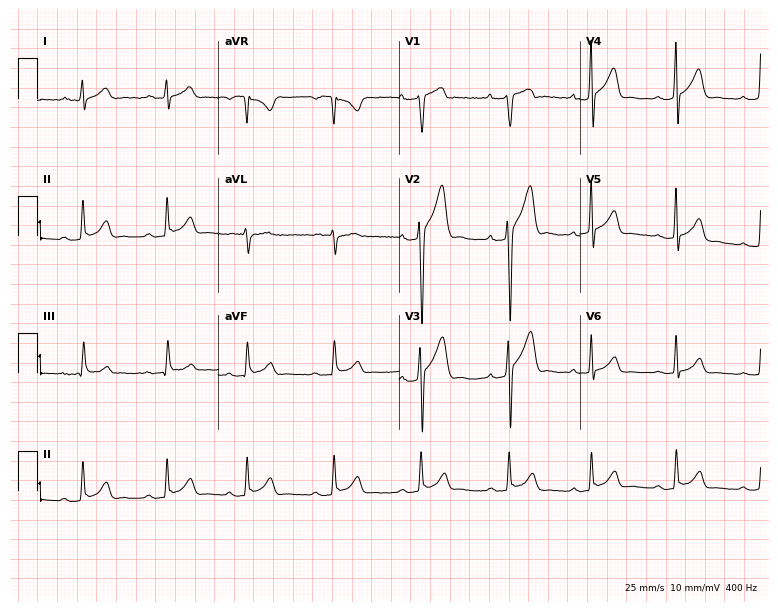
Electrocardiogram (7.4-second recording at 400 Hz), a 24-year-old man. Of the six screened findings (first-degree AV block, right bundle branch block, left bundle branch block, sinus bradycardia, atrial fibrillation, sinus tachycardia), none is recorded.